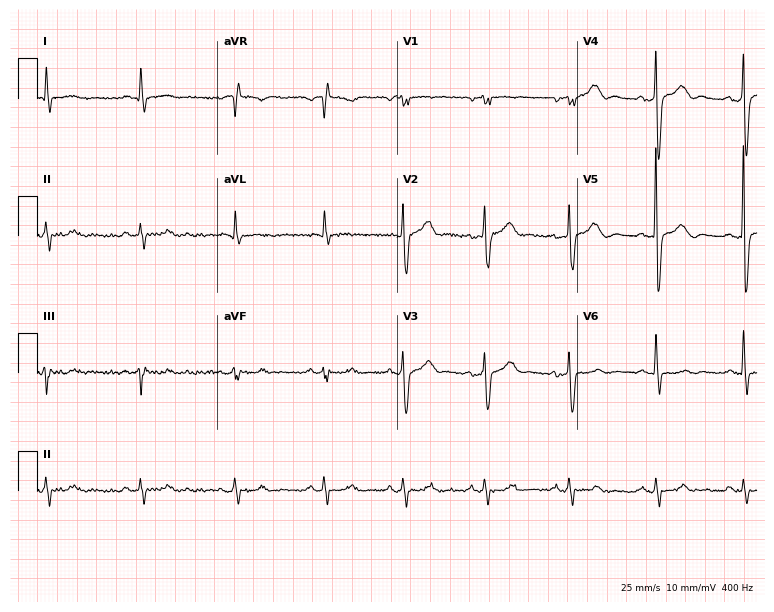
12-lead ECG (7.3-second recording at 400 Hz) from a male, 73 years old. Screened for six findings — first-degree AV block, right bundle branch block, left bundle branch block, sinus bradycardia, atrial fibrillation, sinus tachycardia — none is recorded.